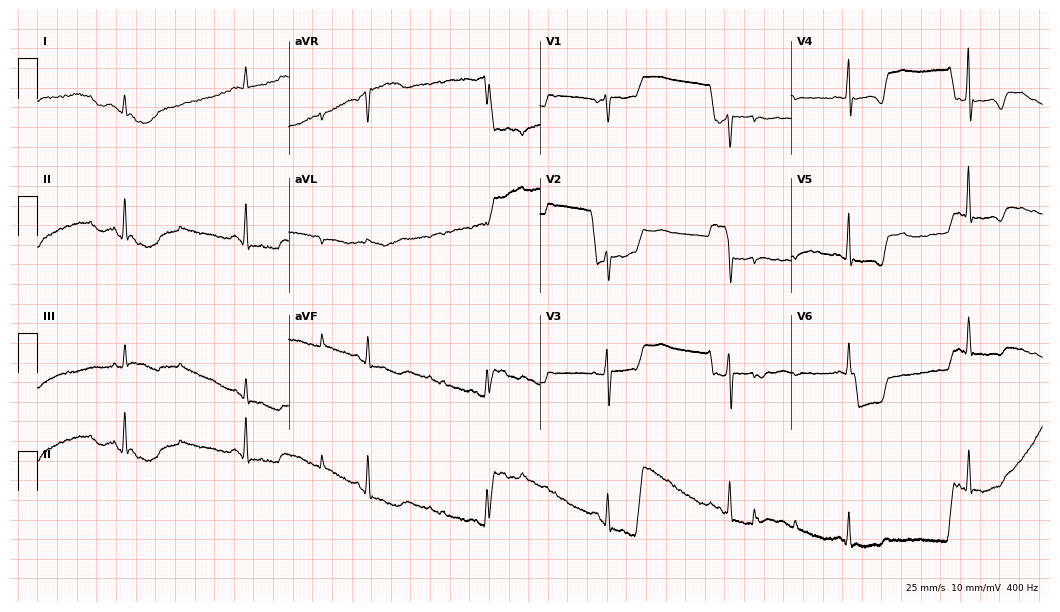
12-lead ECG (10.2-second recording at 400 Hz) from a man, 68 years old. Screened for six findings — first-degree AV block, right bundle branch block, left bundle branch block, sinus bradycardia, atrial fibrillation, sinus tachycardia — none is recorded. Only these six findings were labelled.